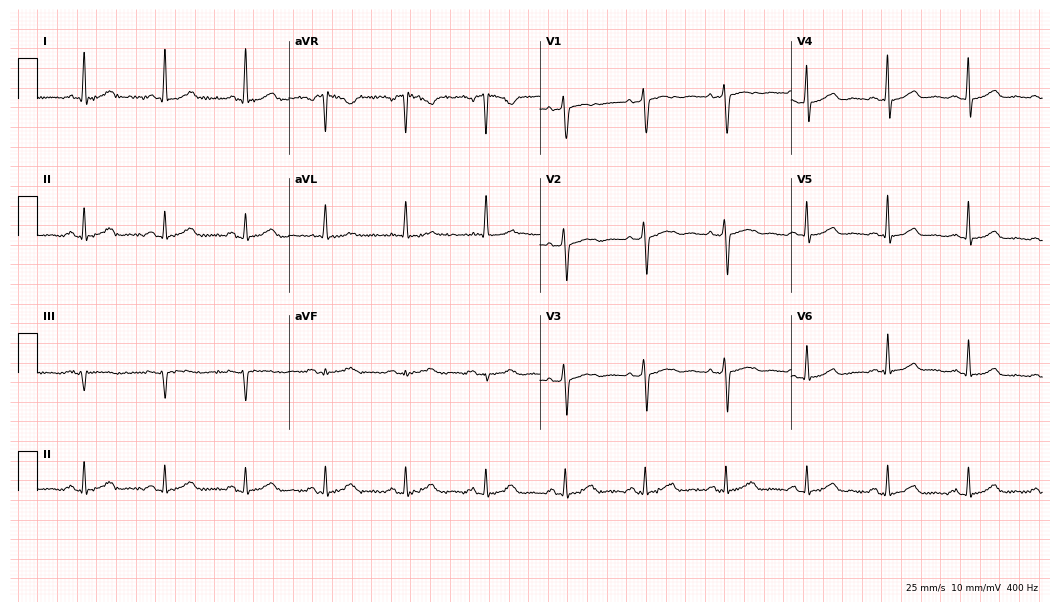
Electrocardiogram (10.2-second recording at 400 Hz), a woman, 54 years old. Overall reading on record: normal ECG.